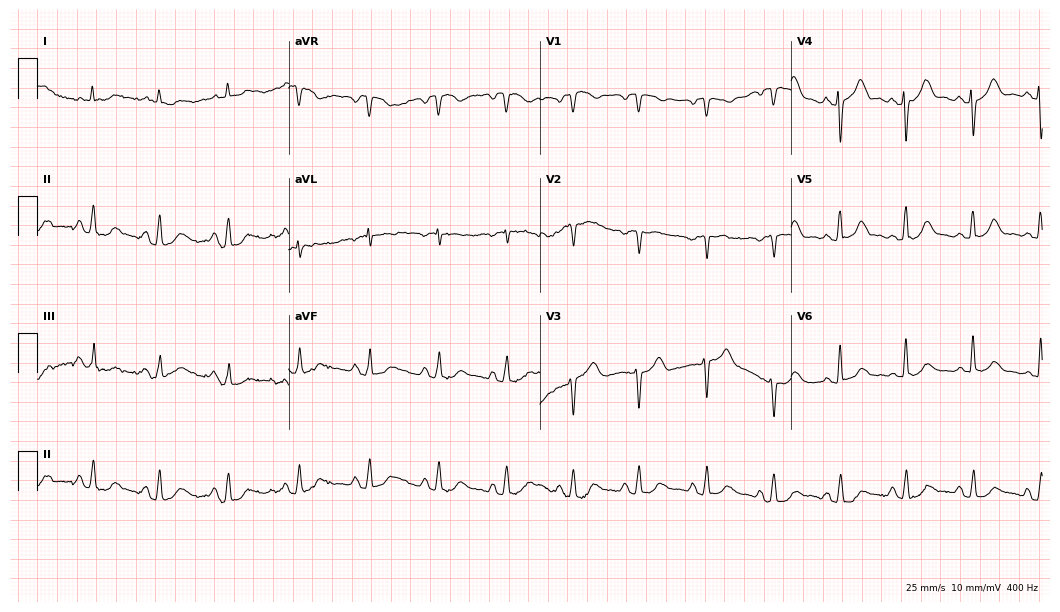
Standard 12-lead ECG recorded from a female patient, 76 years old. Read as a normal ECG.